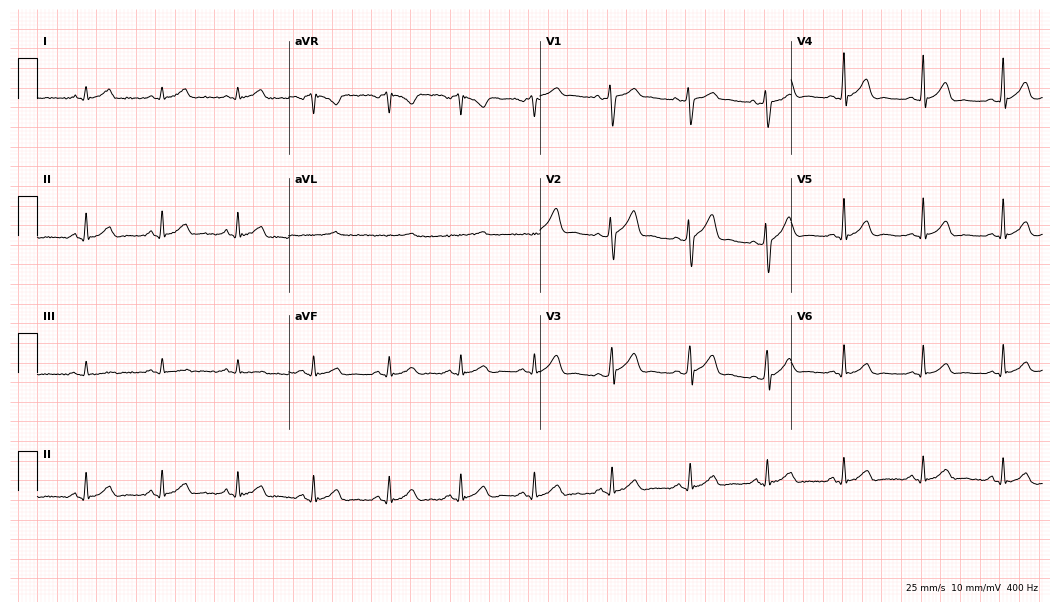
12-lead ECG from a male, 33 years old. Labelled as a normal ECG.